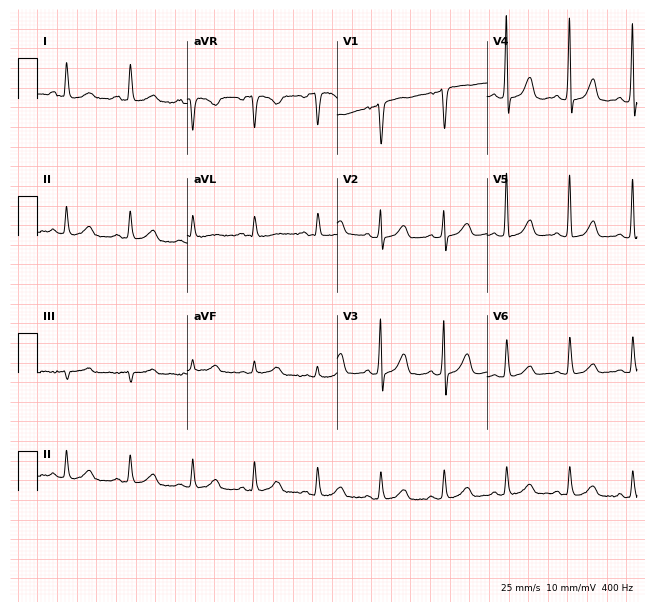
Resting 12-lead electrocardiogram (6.1-second recording at 400 Hz). Patient: a 64-year-old female. None of these six findings is recorded: first-degree AV block, right bundle branch block, left bundle branch block, sinus bradycardia, atrial fibrillation, sinus tachycardia.